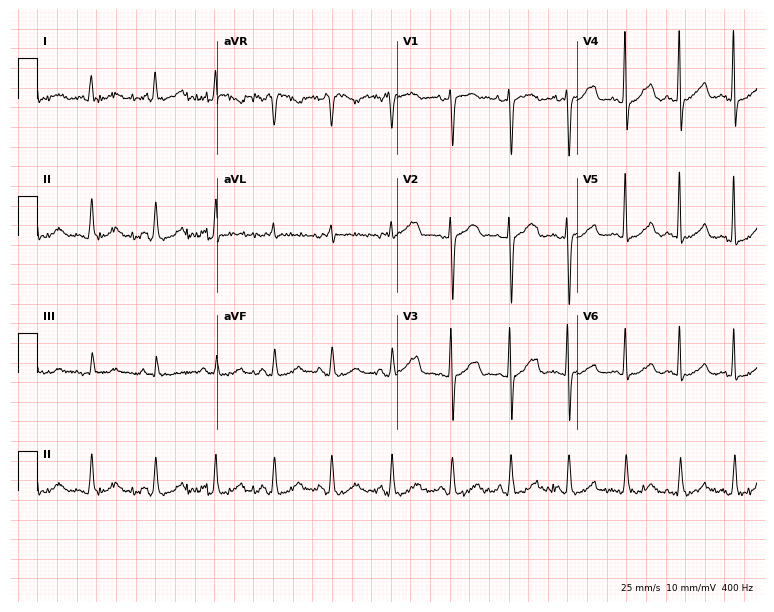
Electrocardiogram, a 71-year-old female patient. Of the six screened findings (first-degree AV block, right bundle branch block (RBBB), left bundle branch block (LBBB), sinus bradycardia, atrial fibrillation (AF), sinus tachycardia), none is recorded.